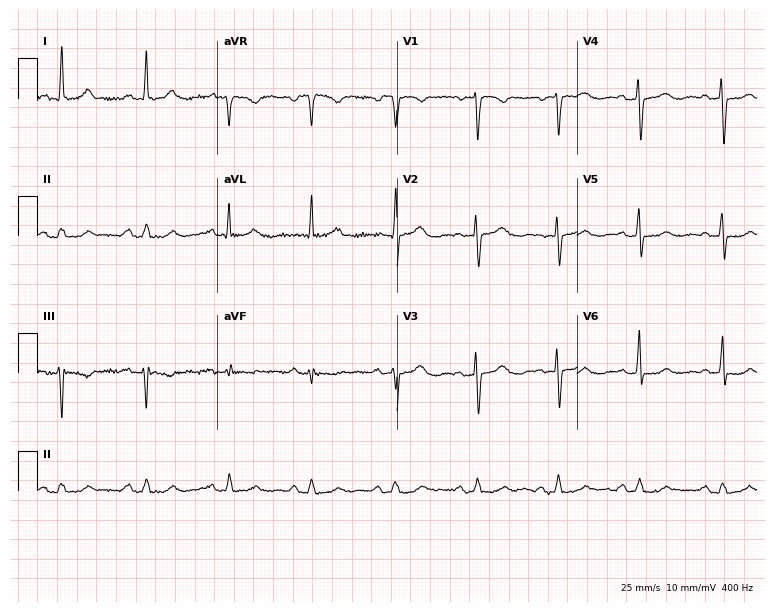
ECG — a female, 72 years old. Screened for six findings — first-degree AV block, right bundle branch block (RBBB), left bundle branch block (LBBB), sinus bradycardia, atrial fibrillation (AF), sinus tachycardia — none is recorded.